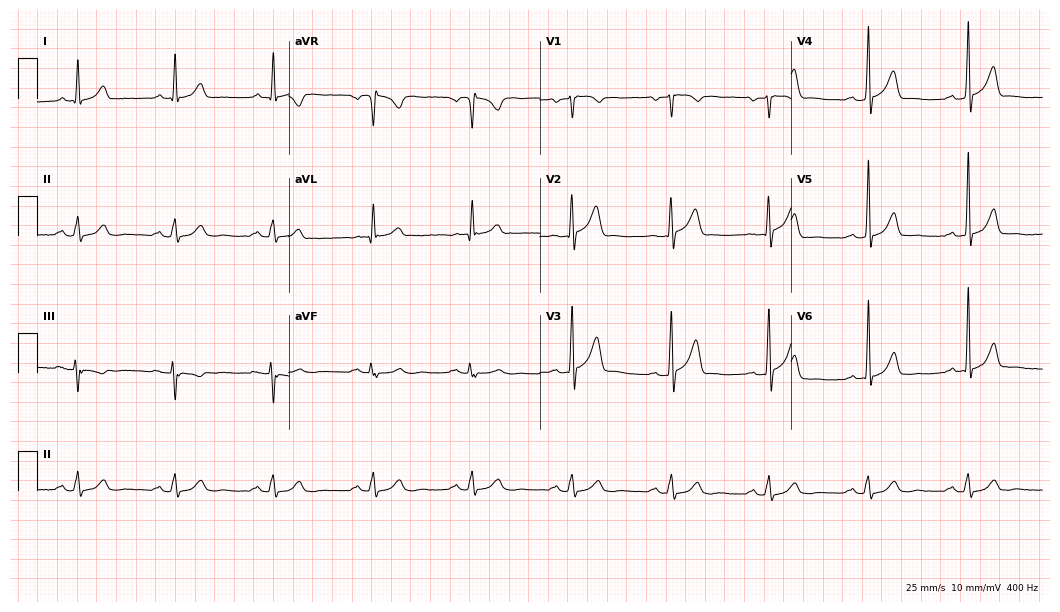
Electrocardiogram (10.2-second recording at 400 Hz), a male, 53 years old. Overall reading on record: normal ECG.